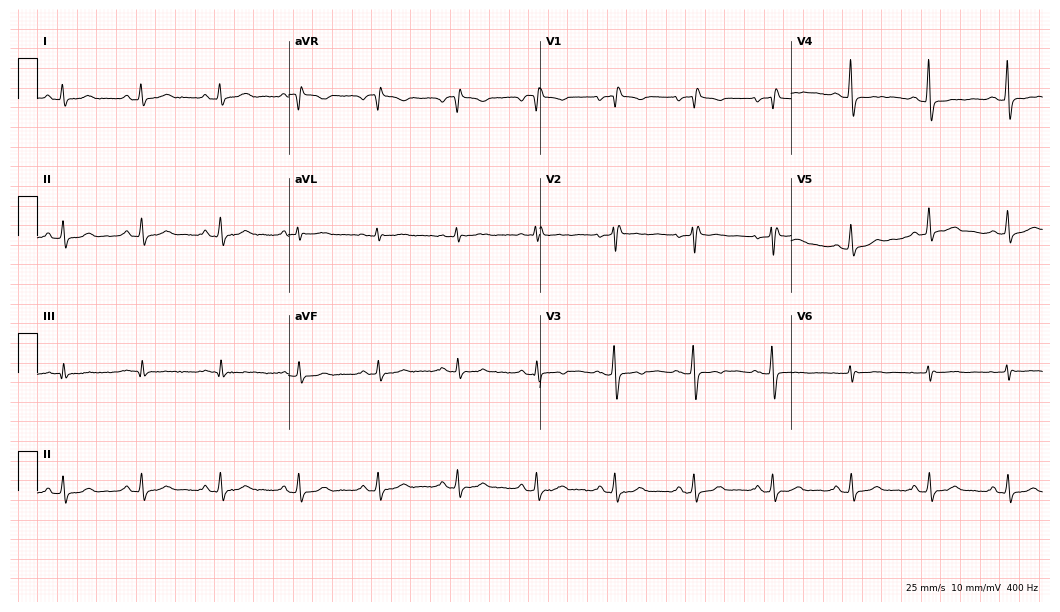
Resting 12-lead electrocardiogram (10.2-second recording at 400 Hz). Patient: a female, 65 years old. None of these six findings is recorded: first-degree AV block, right bundle branch block (RBBB), left bundle branch block (LBBB), sinus bradycardia, atrial fibrillation (AF), sinus tachycardia.